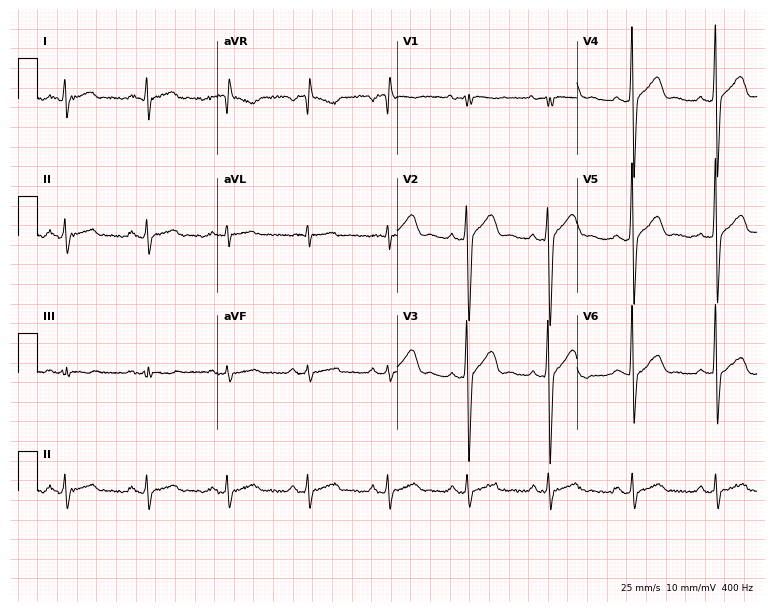
Resting 12-lead electrocardiogram (7.3-second recording at 400 Hz). Patient: a man, 42 years old. Read as a normal ECG.